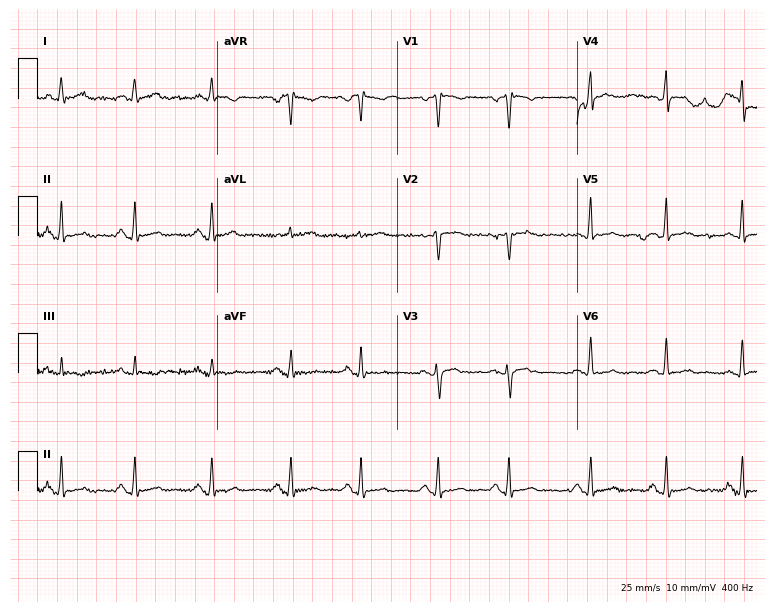
Electrocardiogram (7.3-second recording at 400 Hz), a 43-year-old female. Overall reading on record: normal ECG.